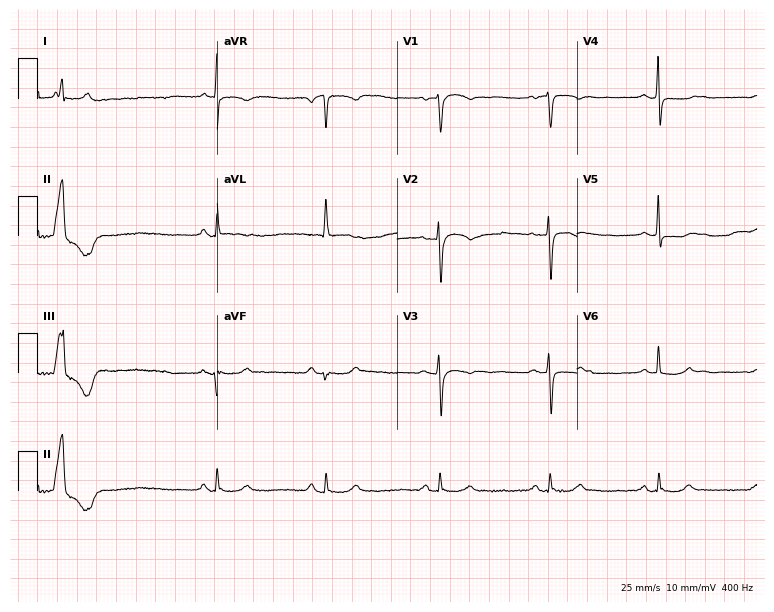
Standard 12-lead ECG recorded from a female patient, 79 years old. None of these six findings is recorded: first-degree AV block, right bundle branch block, left bundle branch block, sinus bradycardia, atrial fibrillation, sinus tachycardia. Findings outside these six are not listed.